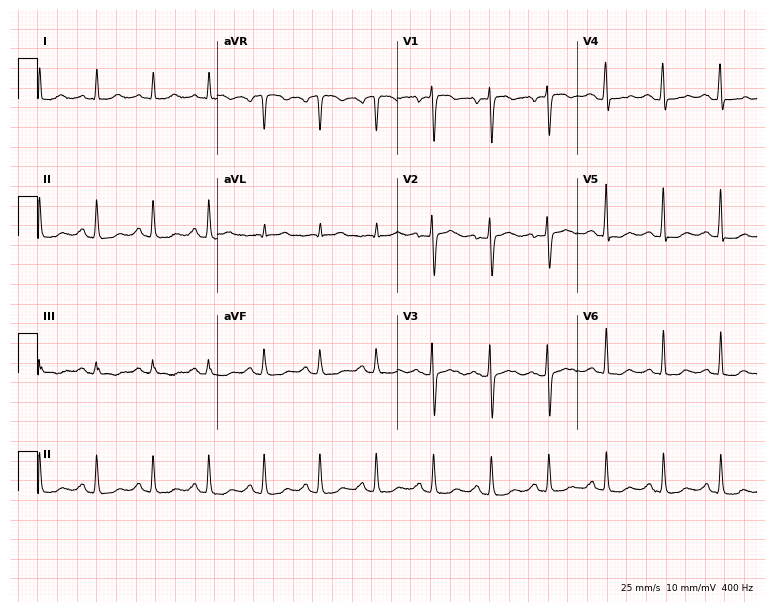
12-lead ECG (7.3-second recording at 400 Hz) from a 41-year-old woman. Screened for six findings — first-degree AV block, right bundle branch block (RBBB), left bundle branch block (LBBB), sinus bradycardia, atrial fibrillation (AF), sinus tachycardia — none is recorded.